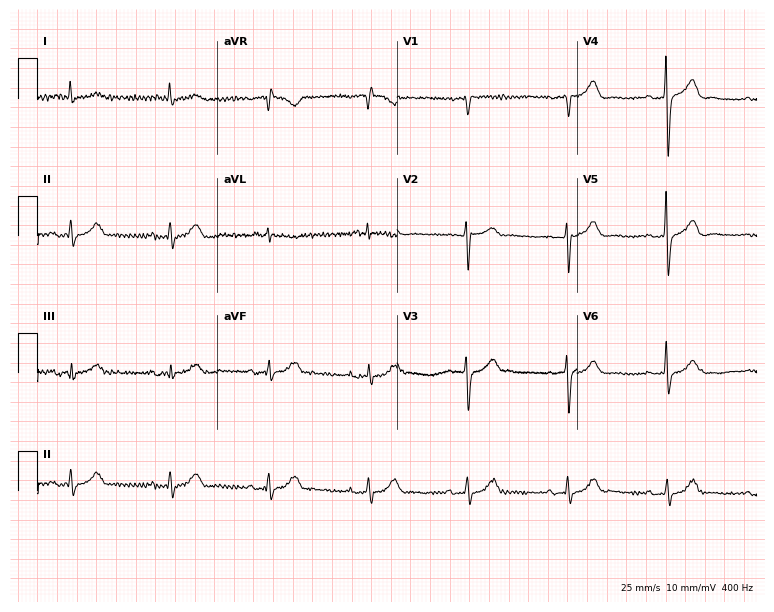
12-lead ECG from a 77-year-old male. Labelled as a normal ECG.